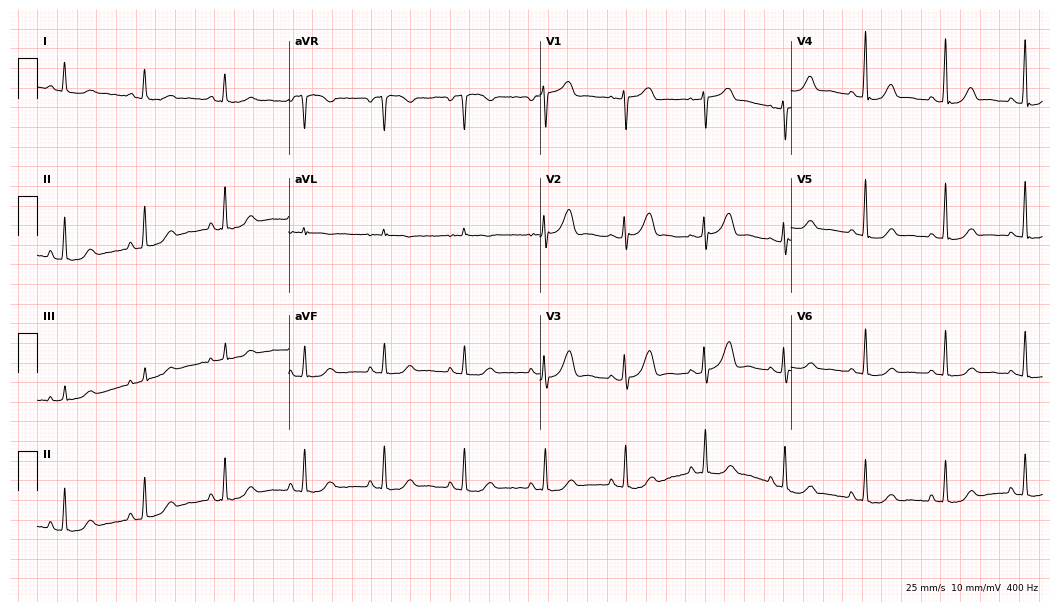
12-lead ECG from a 48-year-old female (10.2-second recording at 400 Hz). No first-degree AV block, right bundle branch block, left bundle branch block, sinus bradycardia, atrial fibrillation or sinus tachycardia recorded for this tracing. Other findings, if any, are not listed.